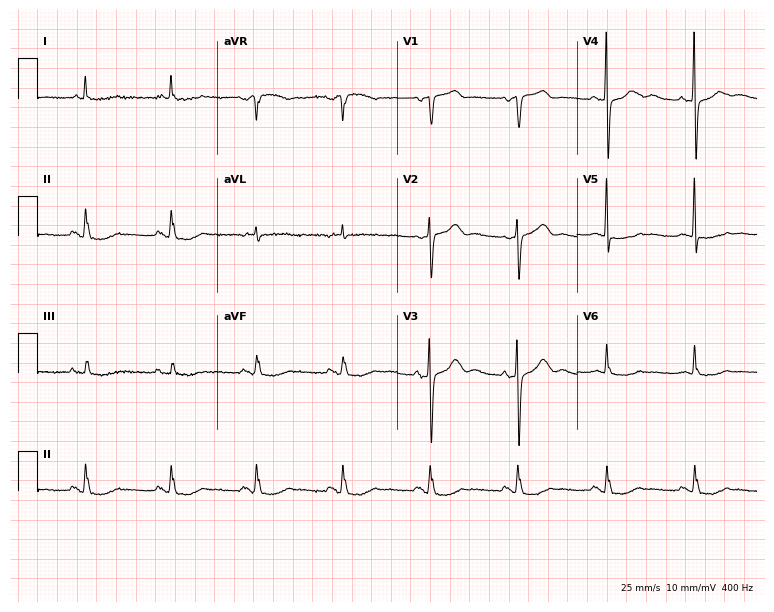
12-lead ECG (7.3-second recording at 400 Hz) from an 84-year-old female. Labelled as a normal ECG.